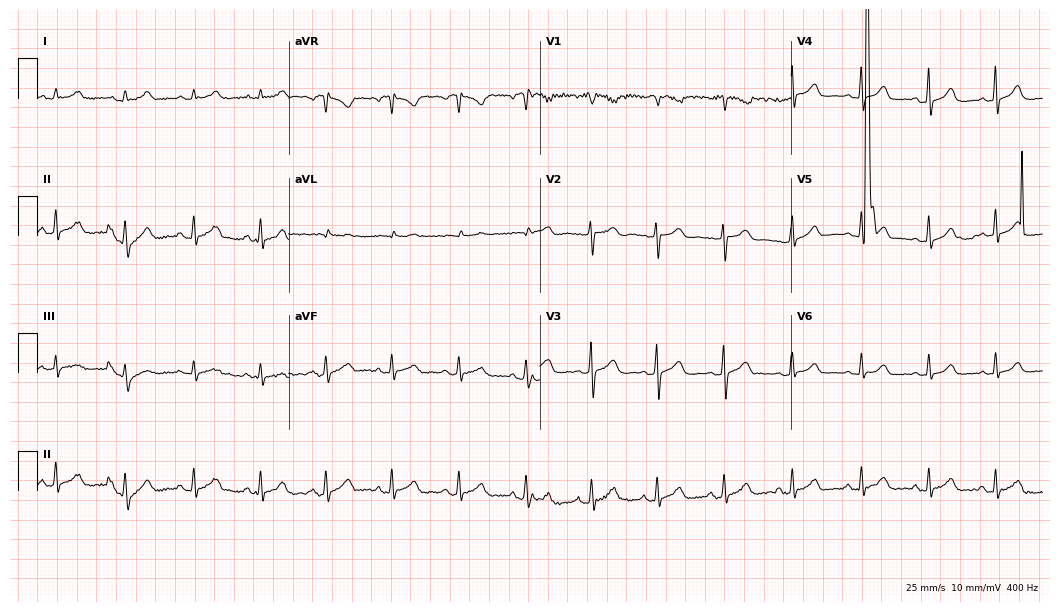
Standard 12-lead ECG recorded from a female, 31 years old (10.2-second recording at 400 Hz). Read as a normal ECG.